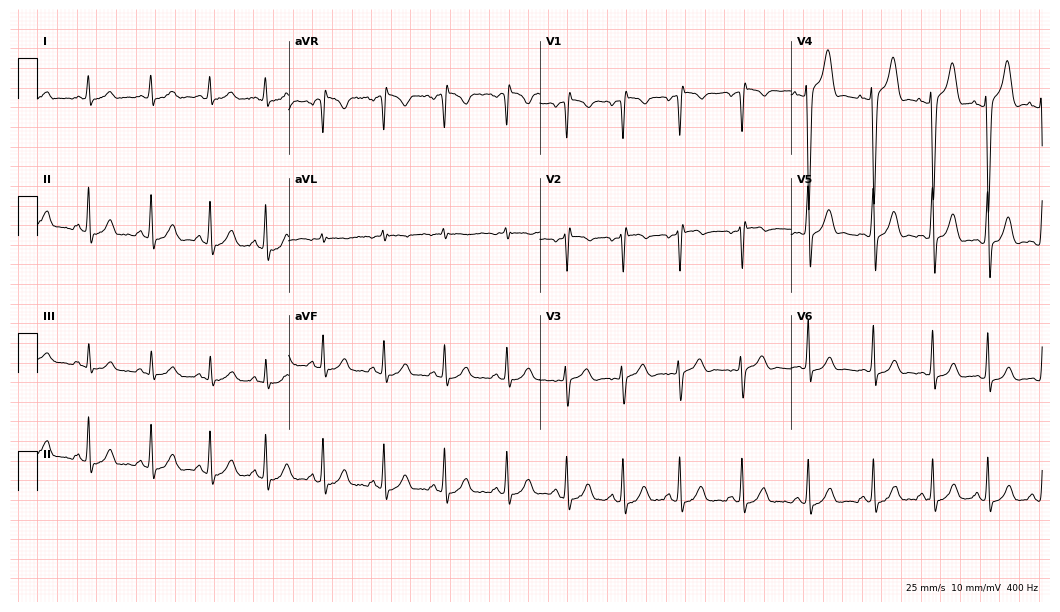
Electrocardiogram, a male patient, 19 years old. Of the six screened findings (first-degree AV block, right bundle branch block, left bundle branch block, sinus bradycardia, atrial fibrillation, sinus tachycardia), none is recorded. Findings outside these six are not listed.